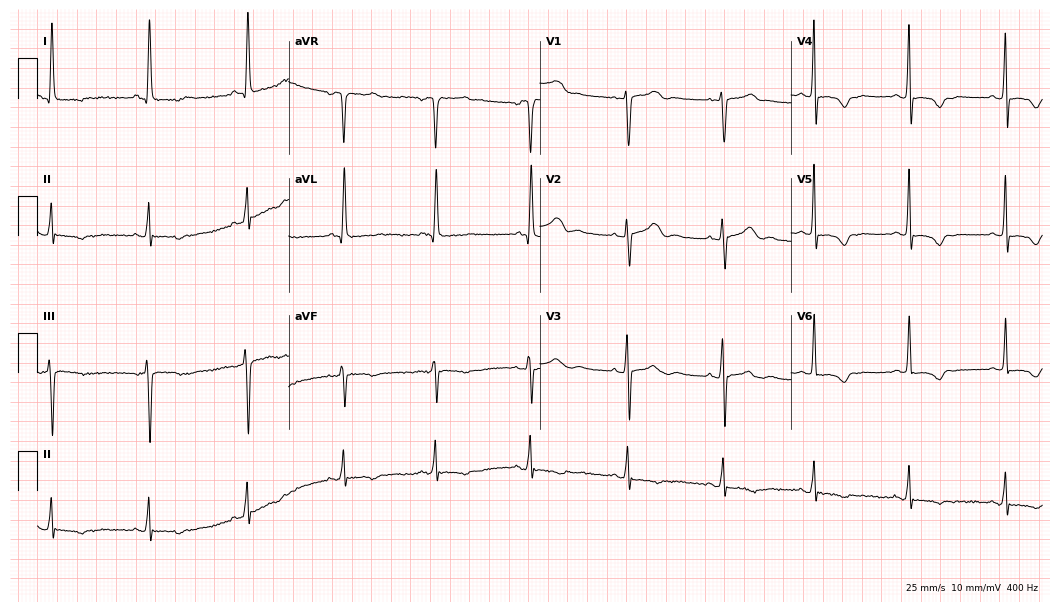
ECG (10.2-second recording at 400 Hz) — a female patient, 67 years old. Screened for six findings — first-degree AV block, right bundle branch block (RBBB), left bundle branch block (LBBB), sinus bradycardia, atrial fibrillation (AF), sinus tachycardia — none is recorded.